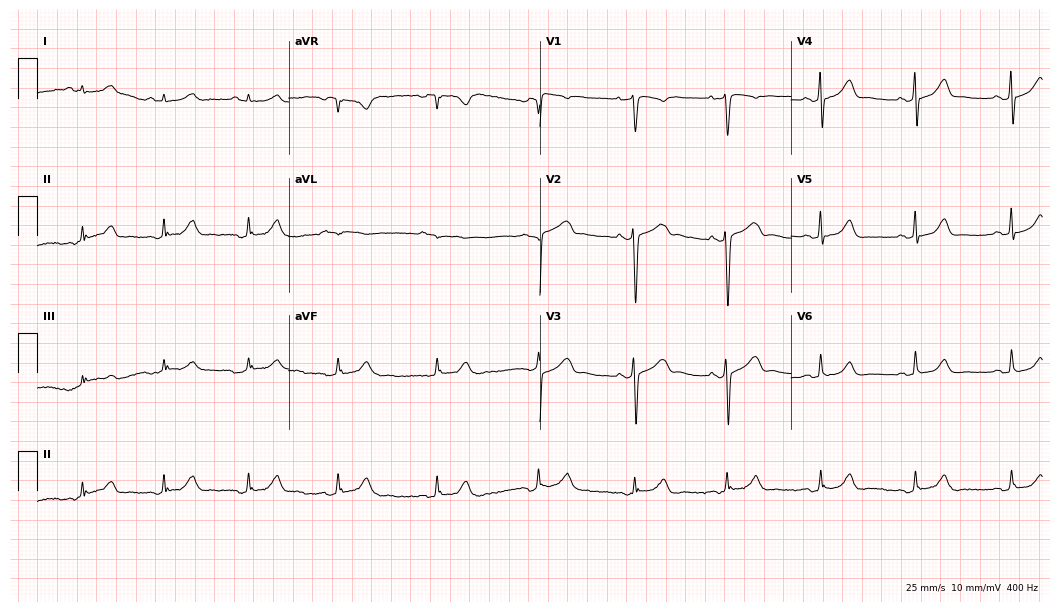
Resting 12-lead electrocardiogram. Patient: a male, 52 years old. None of these six findings is recorded: first-degree AV block, right bundle branch block, left bundle branch block, sinus bradycardia, atrial fibrillation, sinus tachycardia. Only these six findings were labelled.